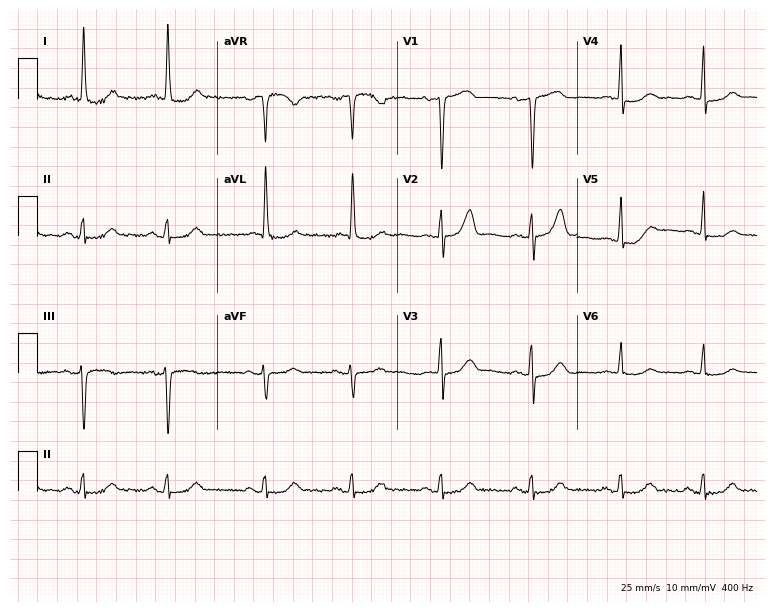
Resting 12-lead electrocardiogram. Patient: an 82-year-old female. None of these six findings is recorded: first-degree AV block, right bundle branch block, left bundle branch block, sinus bradycardia, atrial fibrillation, sinus tachycardia. Only these six findings were labelled.